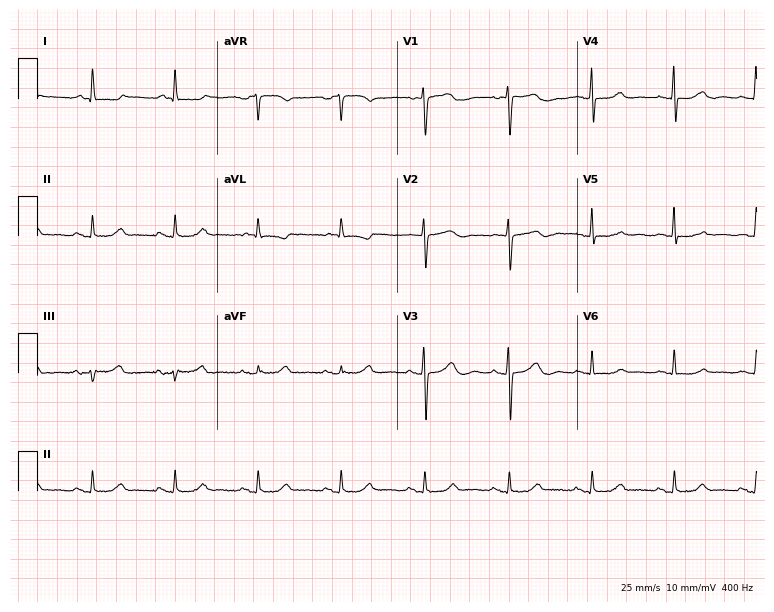
12-lead ECG (7.3-second recording at 400 Hz) from a 65-year-old female. Screened for six findings — first-degree AV block, right bundle branch block, left bundle branch block, sinus bradycardia, atrial fibrillation, sinus tachycardia — none is recorded. Findings outside these six are not listed.